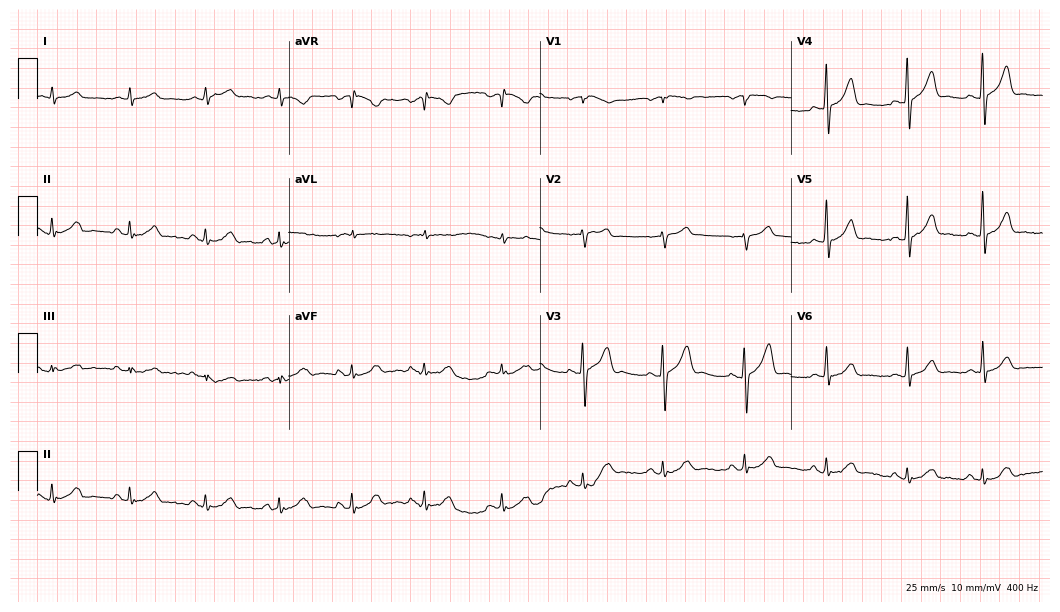
Electrocardiogram, a 58-year-old man. Of the six screened findings (first-degree AV block, right bundle branch block, left bundle branch block, sinus bradycardia, atrial fibrillation, sinus tachycardia), none is recorded. Only these six findings were labelled.